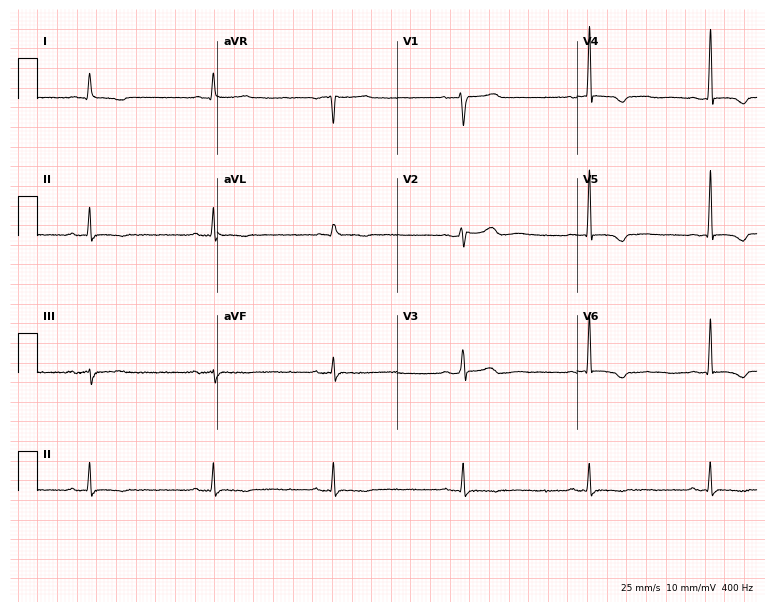
Standard 12-lead ECG recorded from a female patient, 37 years old (7.3-second recording at 400 Hz). The tracing shows sinus bradycardia (a sinus rate of 50 beats per minute or less).